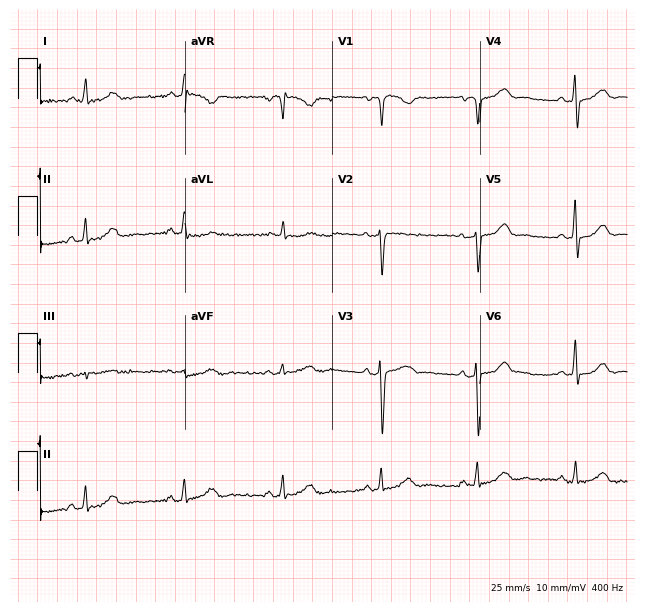
Standard 12-lead ECG recorded from a female, 49 years old (6-second recording at 400 Hz). None of these six findings is recorded: first-degree AV block, right bundle branch block (RBBB), left bundle branch block (LBBB), sinus bradycardia, atrial fibrillation (AF), sinus tachycardia. Only these six findings were labelled.